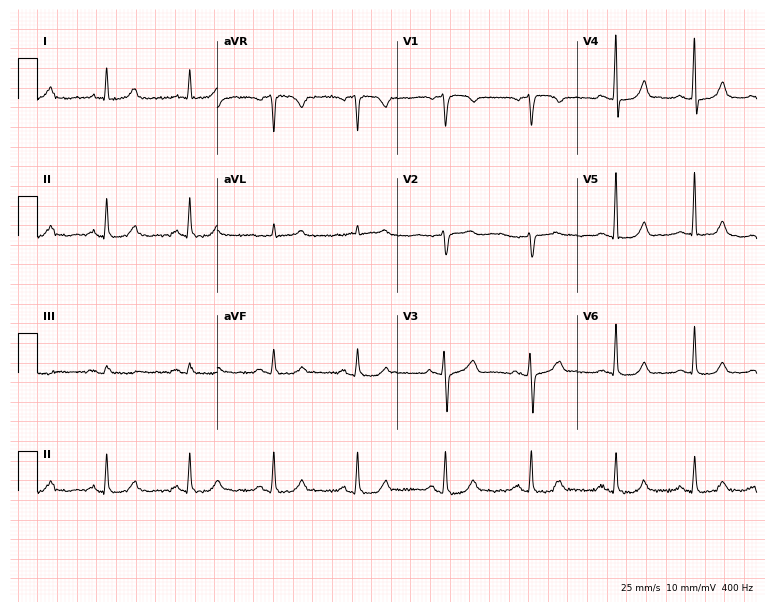
Resting 12-lead electrocardiogram (7.3-second recording at 400 Hz). Patient: a female, 79 years old. Read as a normal ECG.